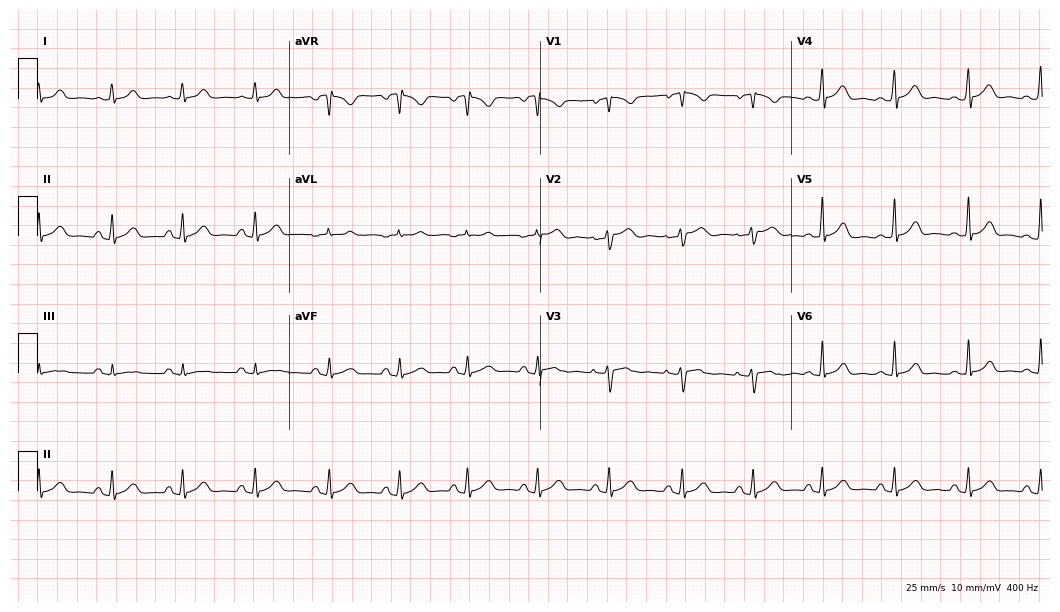
Electrocardiogram (10.2-second recording at 400 Hz), a female, 27 years old. Overall reading on record: normal ECG.